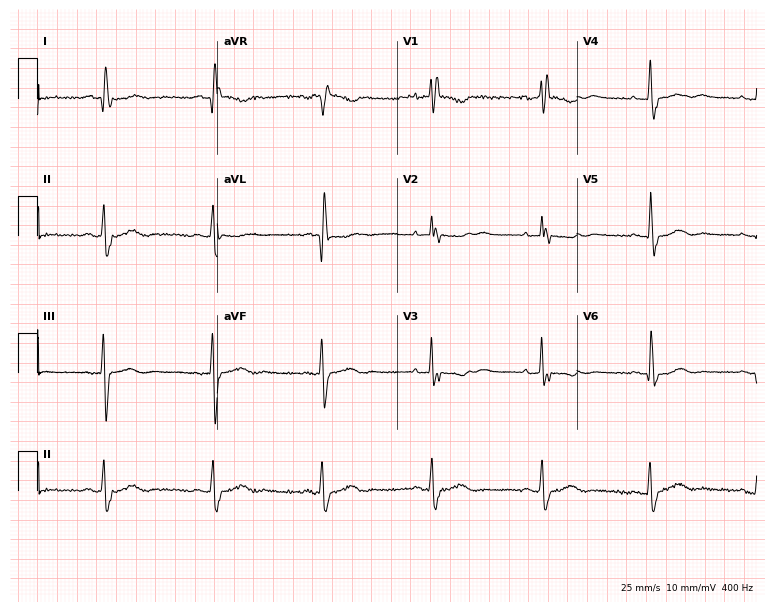
Electrocardiogram (7.3-second recording at 400 Hz), a 74-year-old woman. Of the six screened findings (first-degree AV block, right bundle branch block, left bundle branch block, sinus bradycardia, atrial fibrillation, sinus tachycardia), none is recorded. Only these six findings were labelled.